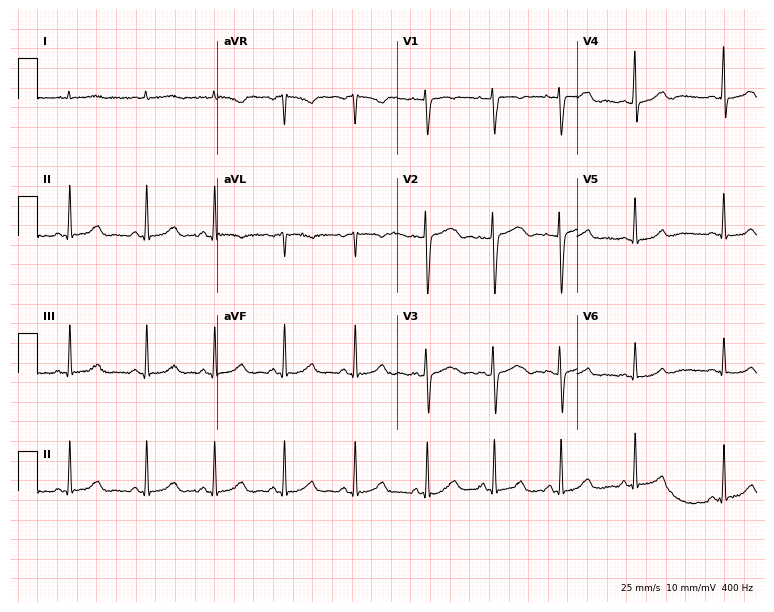
Electrocardiogram (7.3-second recording at 400 Hz), a 30-year-old woman. Of the six screened findings (first-degree AV block, right bundle branch block, left bundle branch block, sinus bradycardia, atrial fibrillation, sinus tachycardia), none is recorded.